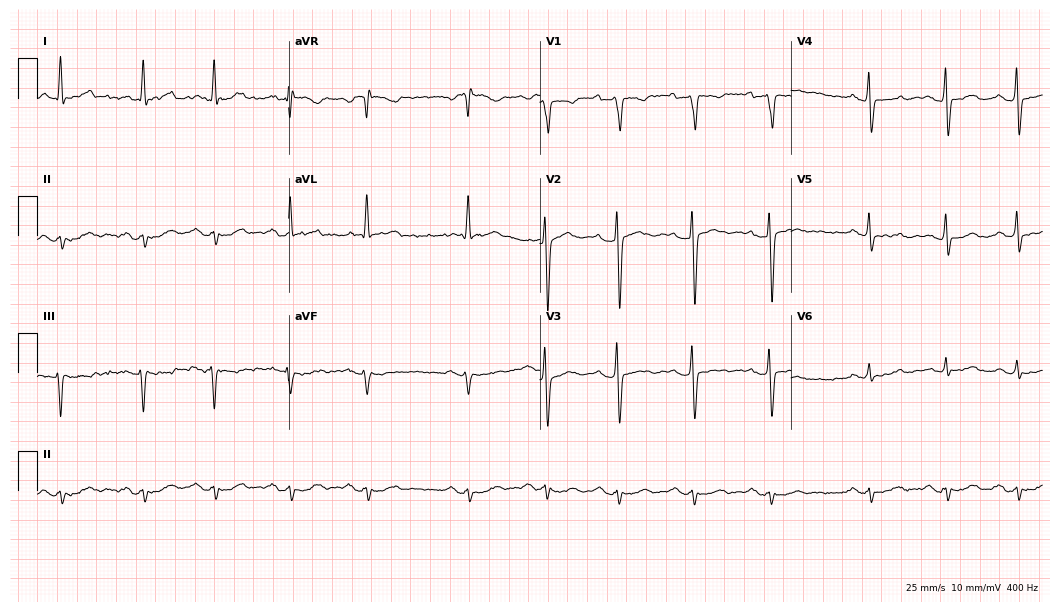
12-lead ECG (10.2-second recording at 400 Hz) from a male, 74 years old. Screened for six findings — first-degree AV block, right bundle branch block, left bundle branch block, sinus bradycardia, atrial fibrillation, sinus tachycardia — none is recorded.